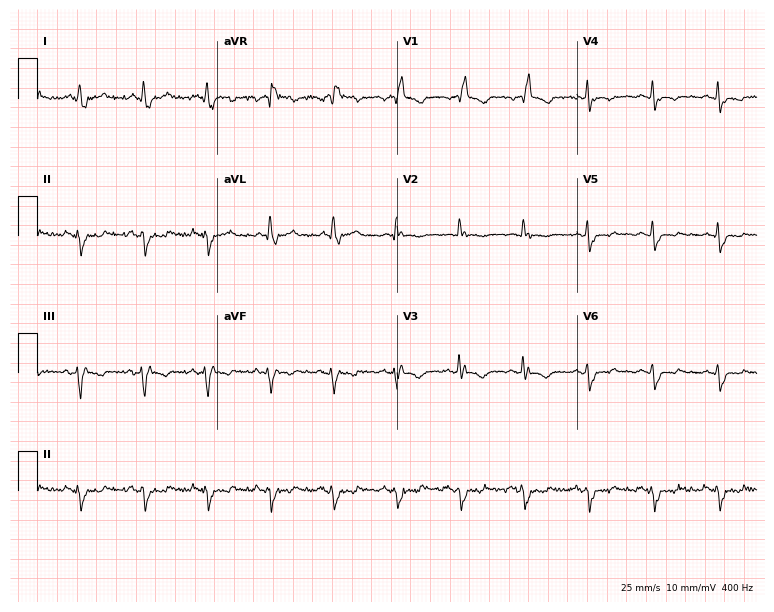
ECG — a male, 64 years old. Screened for six findings — first-degree AV block, right bundle branch block, left bundle branch block, sinus bradycardia, atrial fibrillation, sinus tachycardia — none is recorded. Only these six findings were labelled.